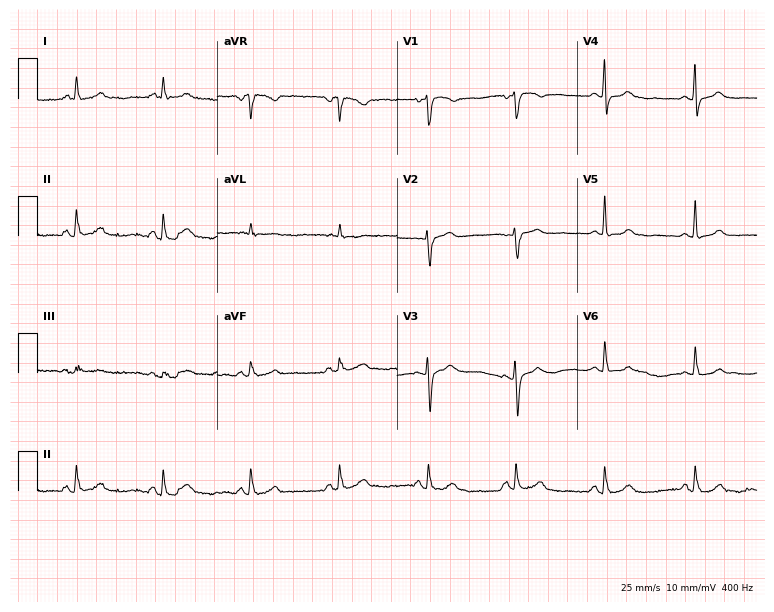
12-lead ECG from a female patient, 74 years old (7.3-second recording at 400 Hz). Recorded interpretation: within normal limits.